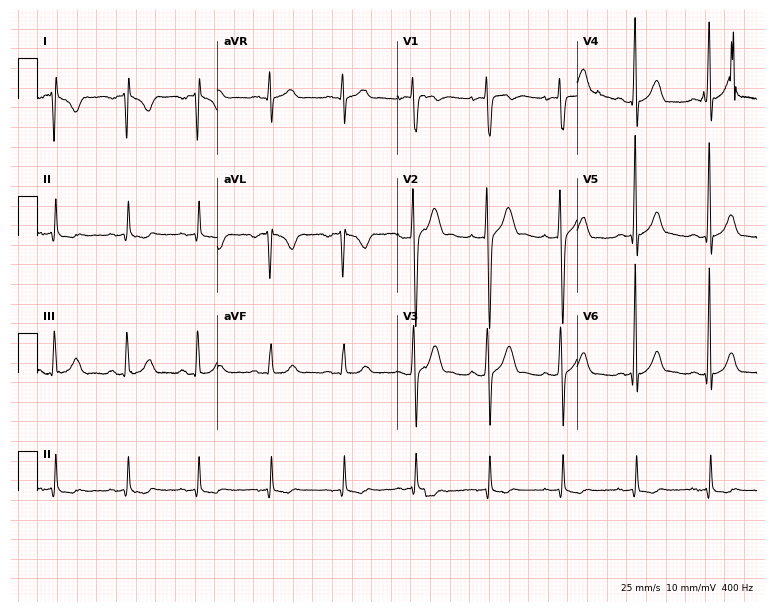
12-lead ECG from a 25-year-old male patient. No first-degree AV block, right bundle branch block (RBBB), left bundle branch block (LBBB), sinus bradycardia, atrial fibrillation (AF) or sinus tachycardia recorded for this tracing. Findings outside these six are not listed.